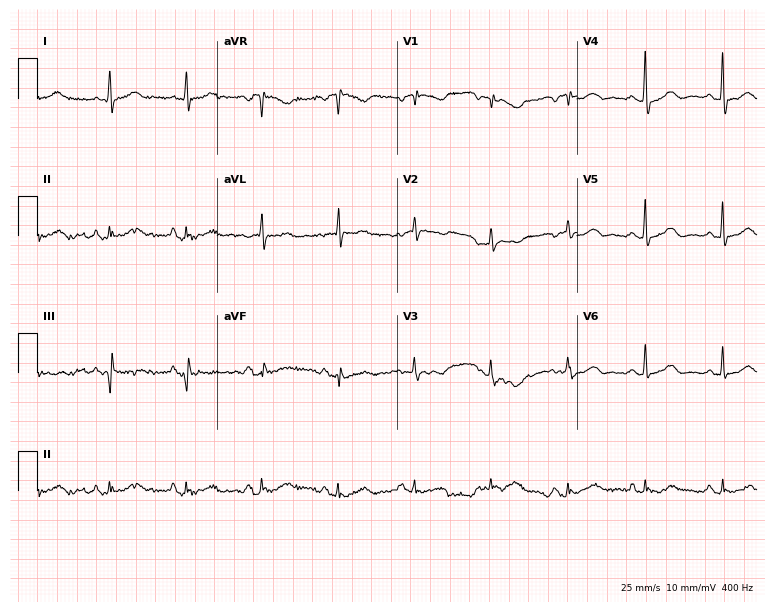
ECG (7.3-second recording at 400 Hz) — a female, 77 years old. Labelled as a normal ECG.